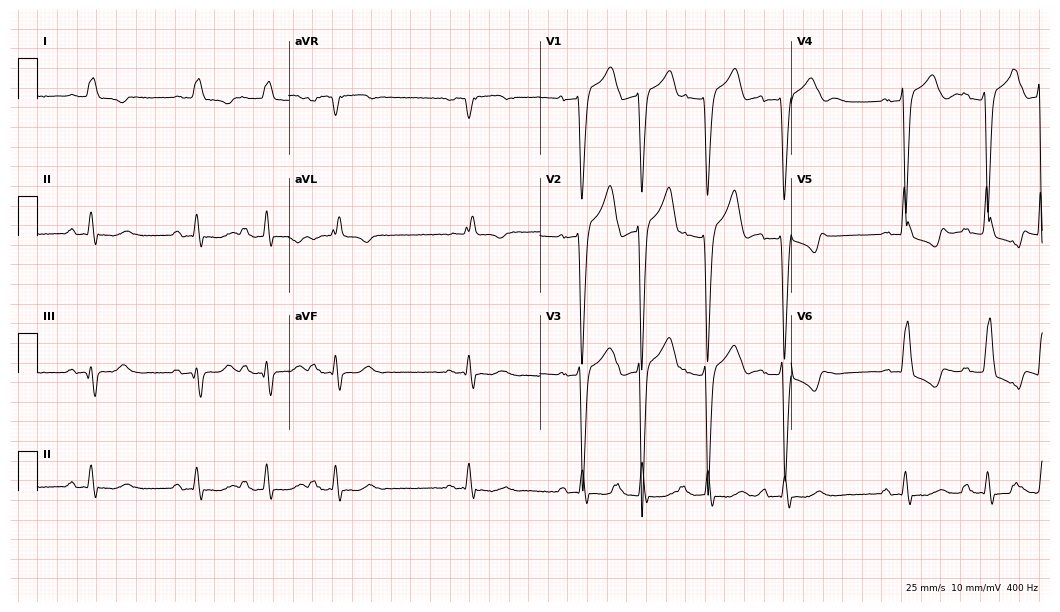
ECG (10.2-second recording at 400 Hz) — a male, 78 years old. Findings include left bundle branch block.